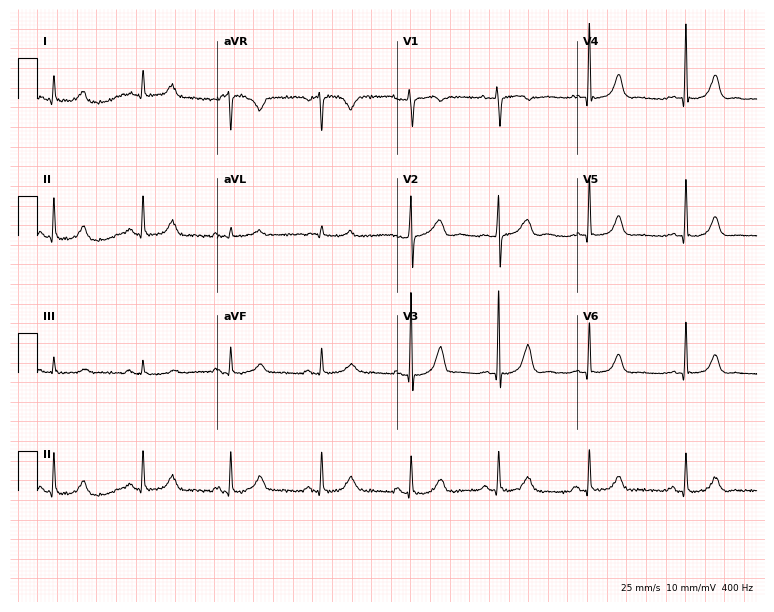
Electrocardiogram, a woman, 50 years old. Of the six screened findings (first-degree AV block, right bundle branch block (RBBB), left bundle branch block (LBBB), sinus bradycardia, atrial fibrillation (AF), sinus tachycardia), none is recorded. Only these six findings were labelled.